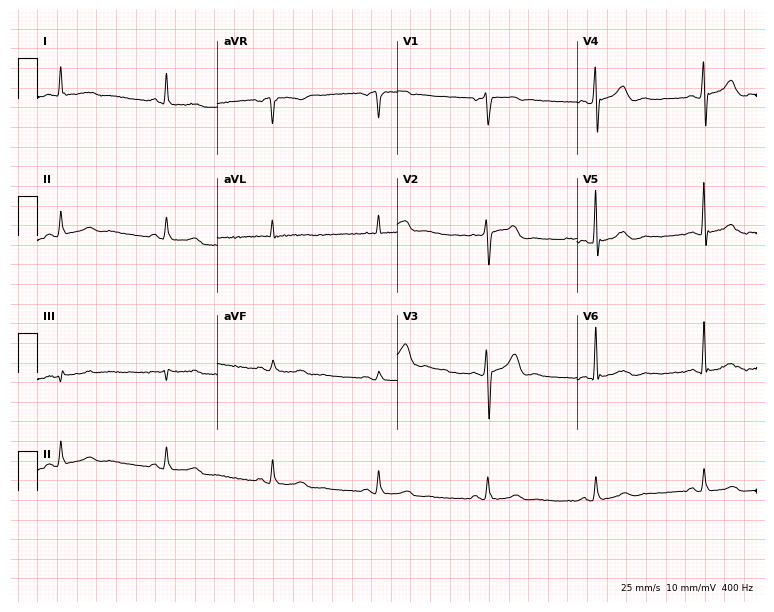
ECG (7.3-second recording at 400 Hz) — a woman, 57 years old. Screened for six findings — first-degree AV block, right bundle branch block (RBBB), left bundle branch block (LBBB), sinus bradycardia, atrial fibrillation (AF), sinus tachycardia — none is recorded.